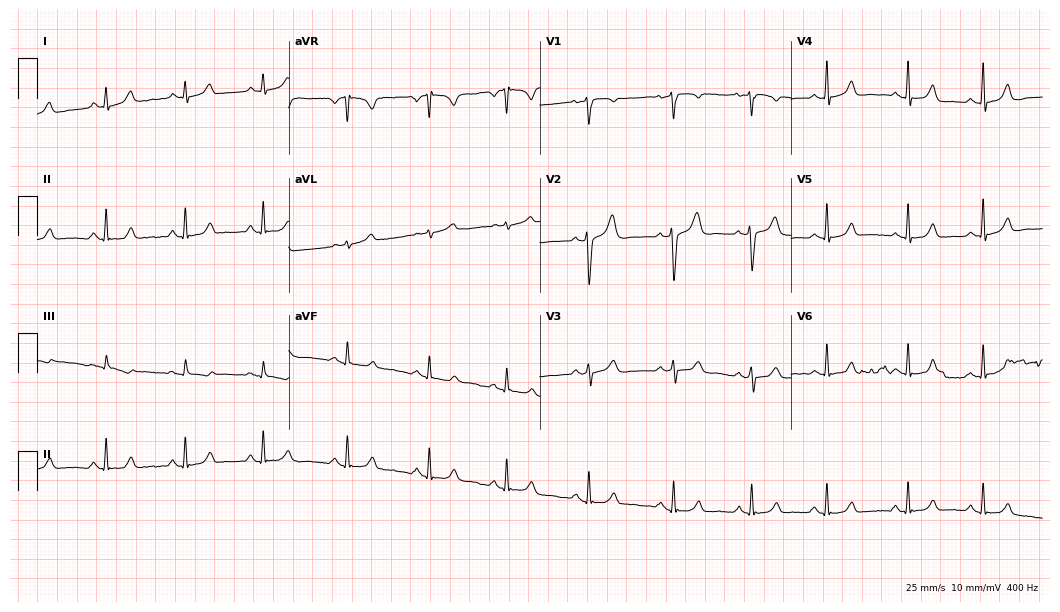
Standard 12-lead ECG recorded from a female, 36 years old (10.2-second recording at 400 Hz). Read as a normal ECG.